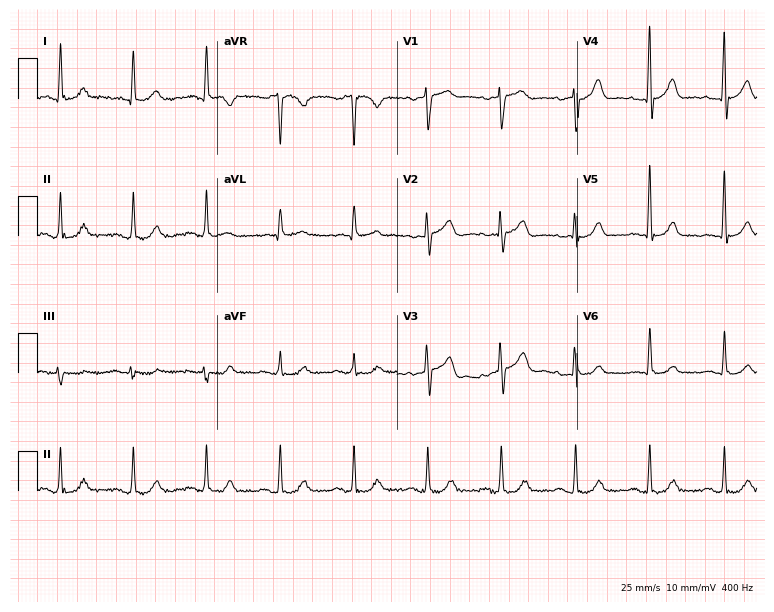
Resting 12-lead electrocardiogram (7.3-second recording at 400 Hz). Patient: an 81-year-old woman. None of these six findings is recorded: first-degree AV block, right bundle branch block, left bundle branch block, sinus bradycardia, atrial fibrillation, sinus tachycardia.